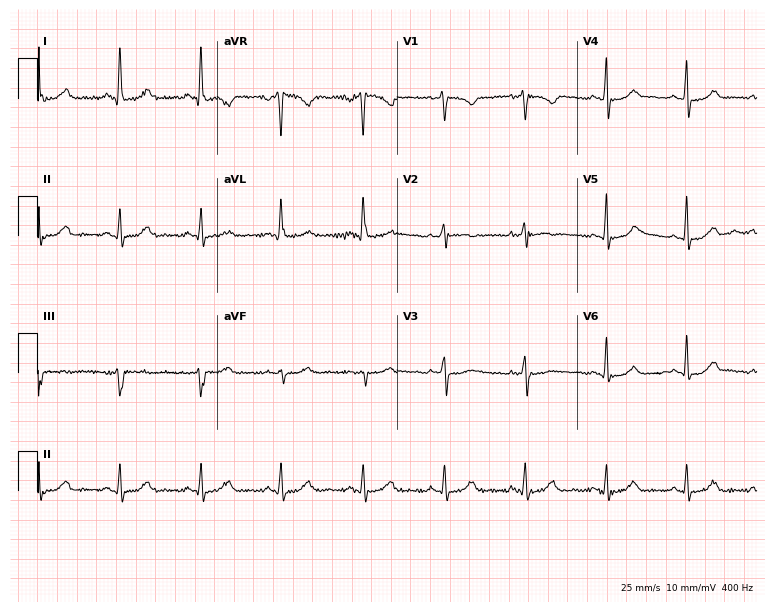
Standard 12-lead ECG recorded from a 57-year-old woman. Read as a normal ECG.